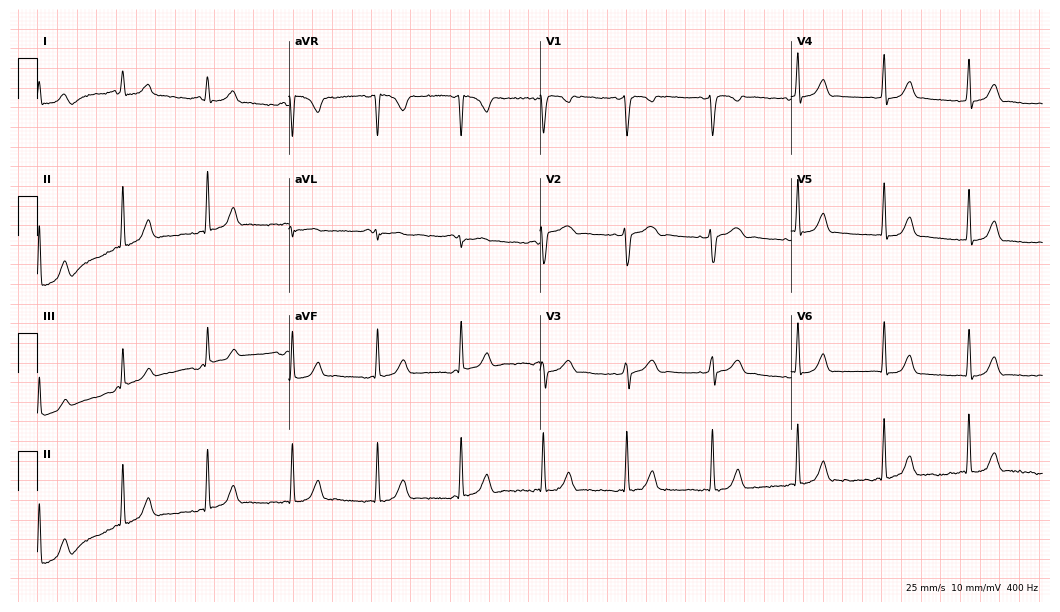
12-lead ECG from a woman, 29 years old. Recorded interpretation: within normal limits.